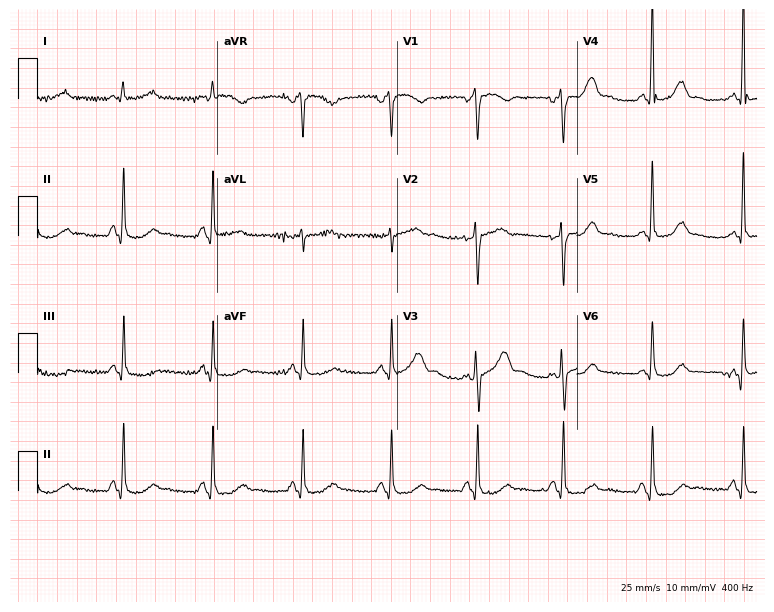
Electrocardiogram (7.3-second recording at 400 Hz), a man, 58 years old. Overall reading on record: normal ECG.